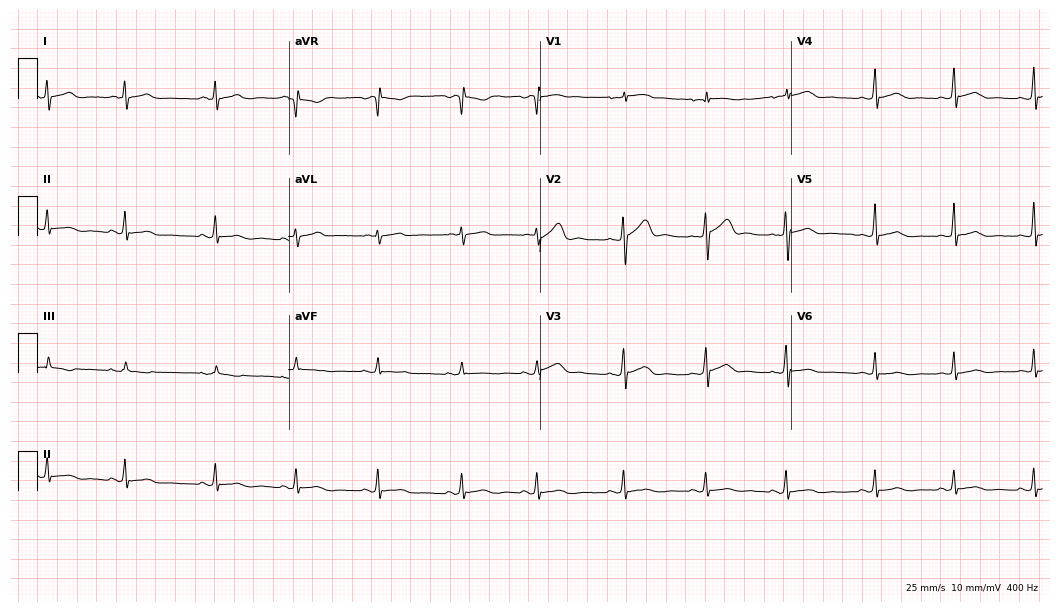
Standard 12-lead ECG recorded from a 26-year-old female. Read as a normal ECG.